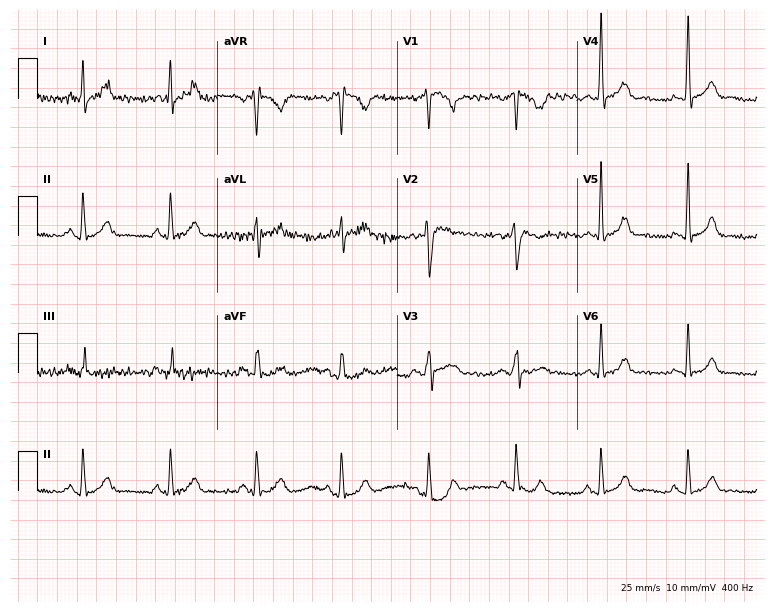
Electrocardiogram (7.3-second recording at 400 Hz), a 25-year-old male. Of the six screened findings (first-degree AV block, right bundle branch block, left bundle branch block, sinus bradycardia, atrial fibrillation, sinus tachycardia), none is recorded. Findings outside these six are not listed.